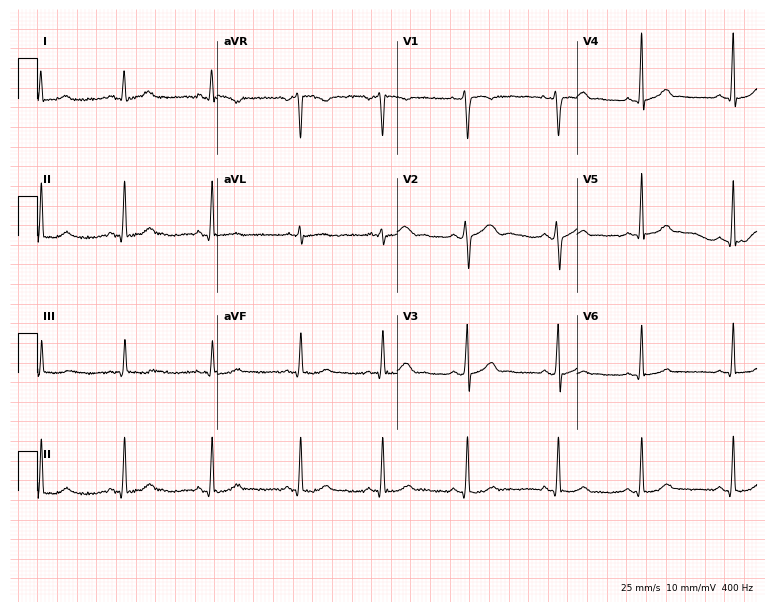
Standard 12-lead ECG recorded from a 19-year-old female (7.3-second recording at 400 Hz). None of these six findings is recorded: first-degree AV block, right bundle branch block, left bundle branch block, sinus bradycardia, atrial fibrillation, sinus tachycardia. Only these six findings were labelled.